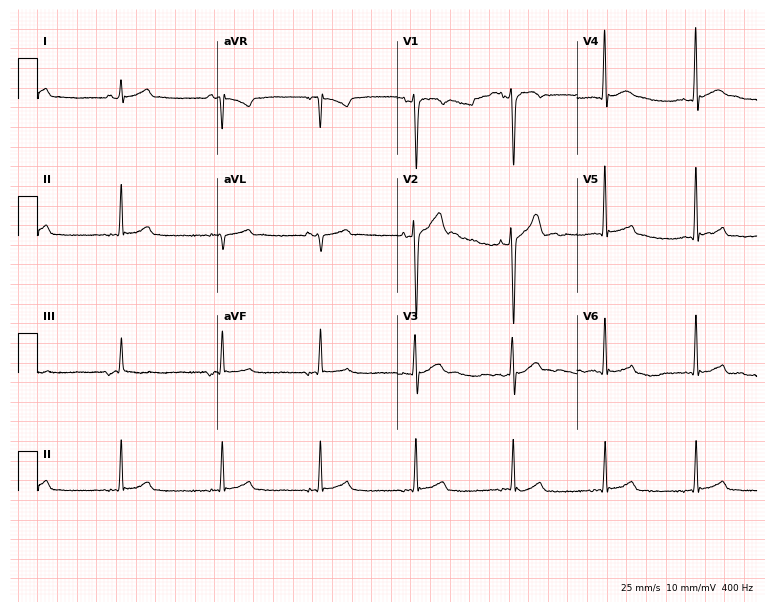
ECG (7.3-second recording at 400 Hz) — a male patient, 26 years old. Screened for six findings — first-degree AV block, right bundle branch block, left bundle branch block, sinus bradycardia, atrial fibrillation, sinus tachycardia — none is recorded.